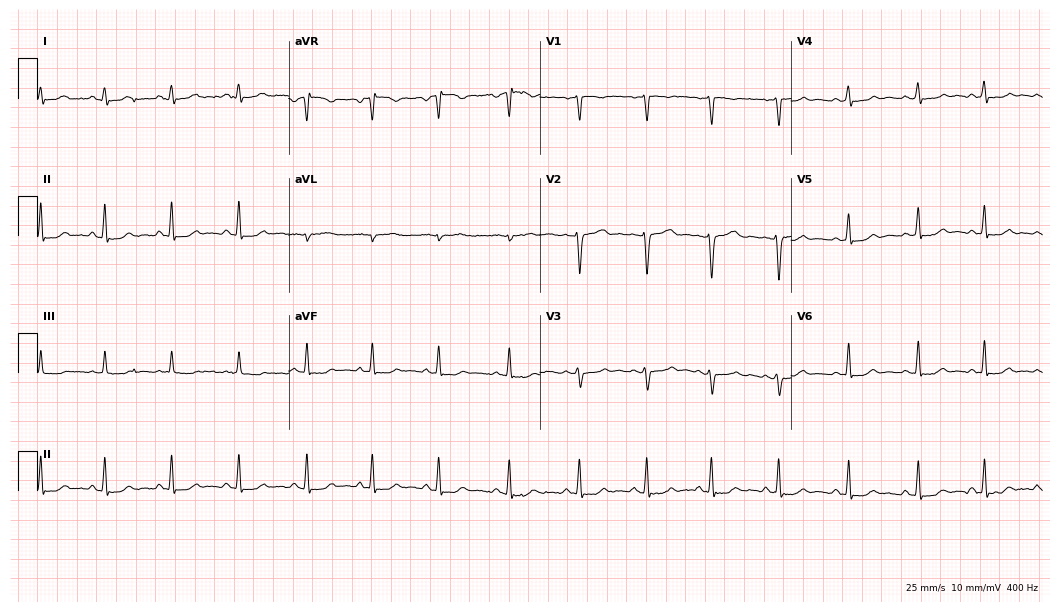
Resting 12-lead electrocardiogram (10.2-second recording at 400 Hz). Patient: a 30-year-old woman. None of these six findings is recorded: first-degree AV block, right bundle branch block, left bundle branch block, sinus bradycardia, atrial fibrillation, sinus tachycardia.